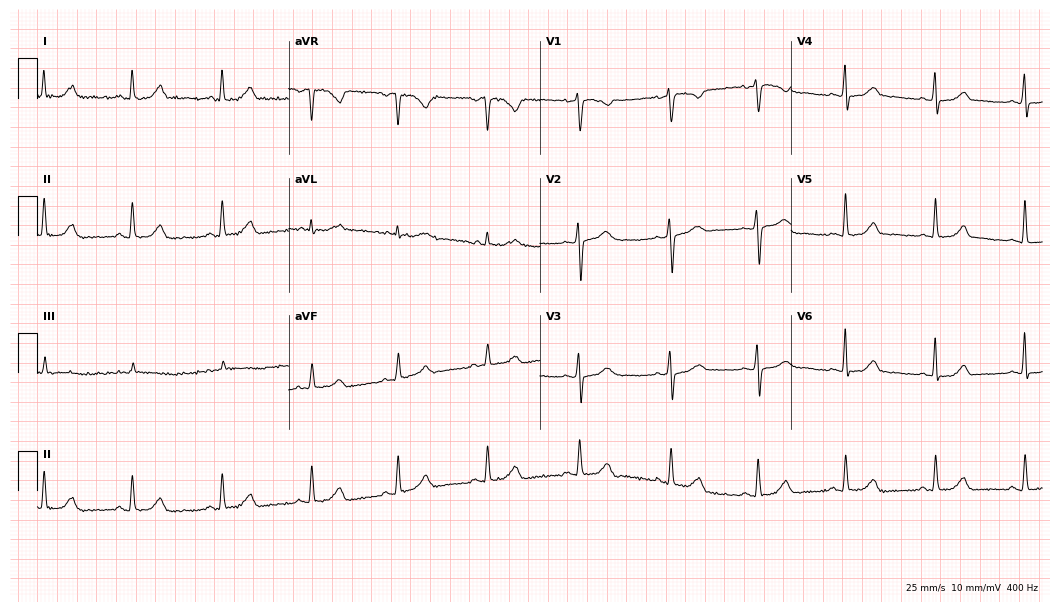
Resting 12-lead electrocardiogram (10.2-second recording at 400 Hz). Patient: a 66-year-old female. Read as a normal ECG.